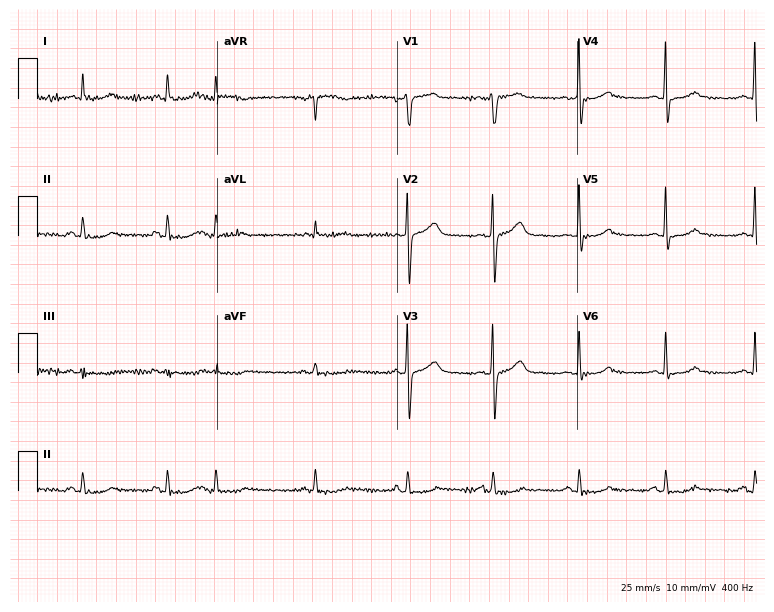
Standard 12-lead ECG recorded from a female, 57 years old (7.3-second recording at 400 Hz). None of these six findings is recorded: first-degree AV block, right bundle branch block (RBBB), left bundle branch block (LBBB), sinus bradycardia, atrial fibrillation (AF), sinus tachycardia. Findings outside these six are not listed.